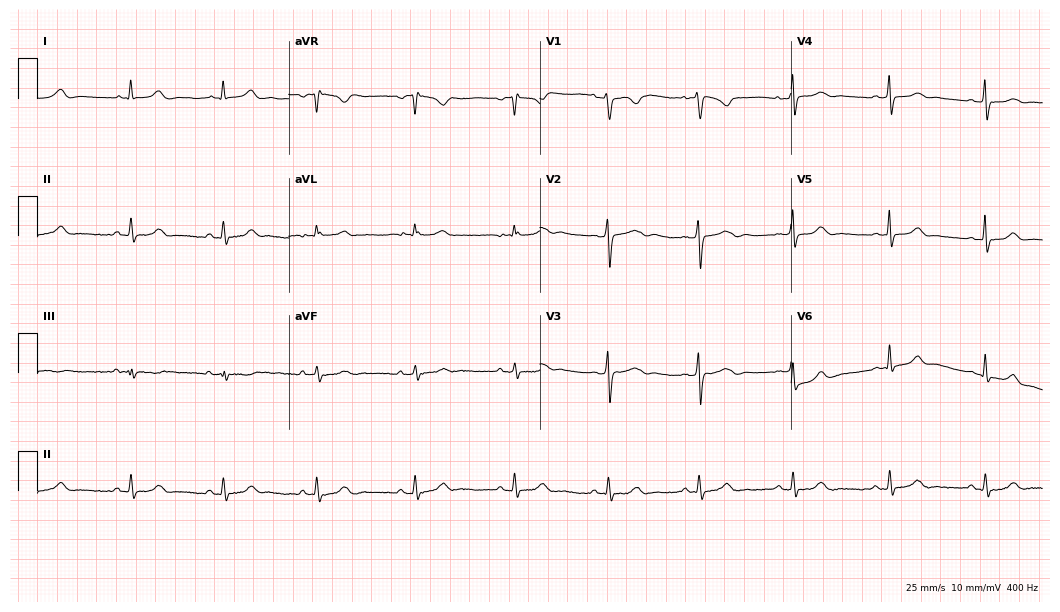
Standard 12-lead ECG recorded from a female patient, 27 years old. Read as a normal ECG.